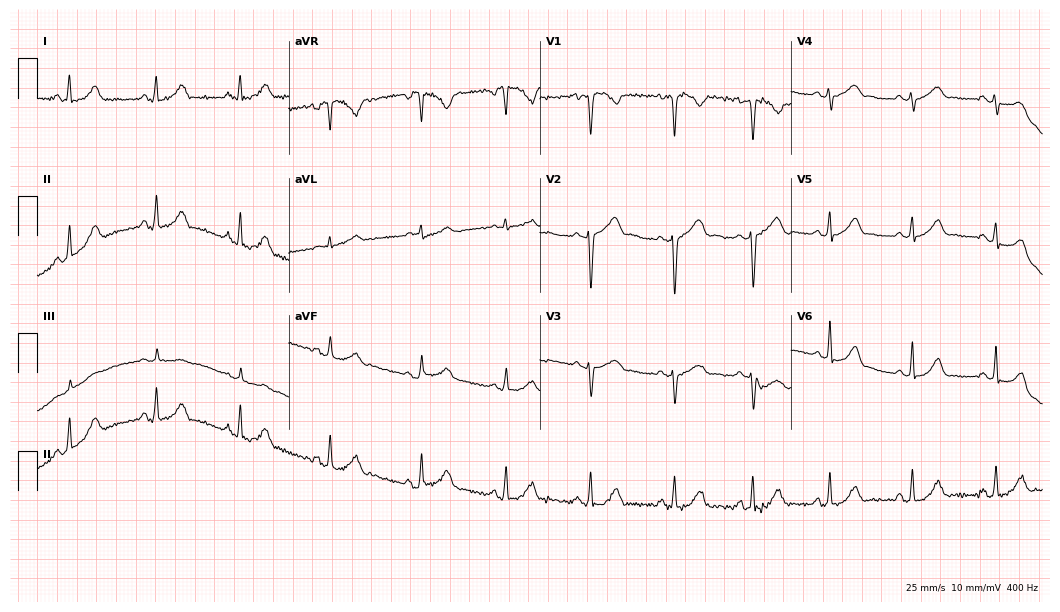
Resting 12-lead electrocardiogram. Patient: a female, 34 years old. Read as a normal ECG.